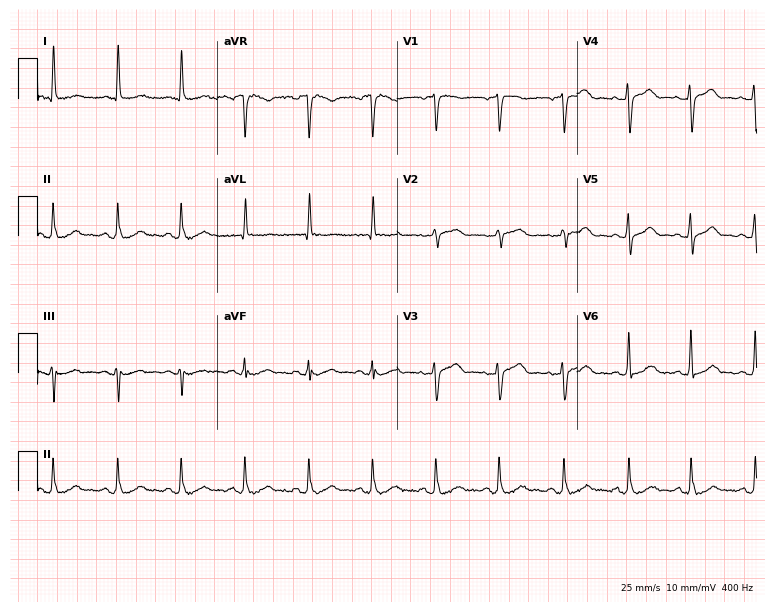
ECG — a woman, 69 years old. Labelled as a normal ECG.